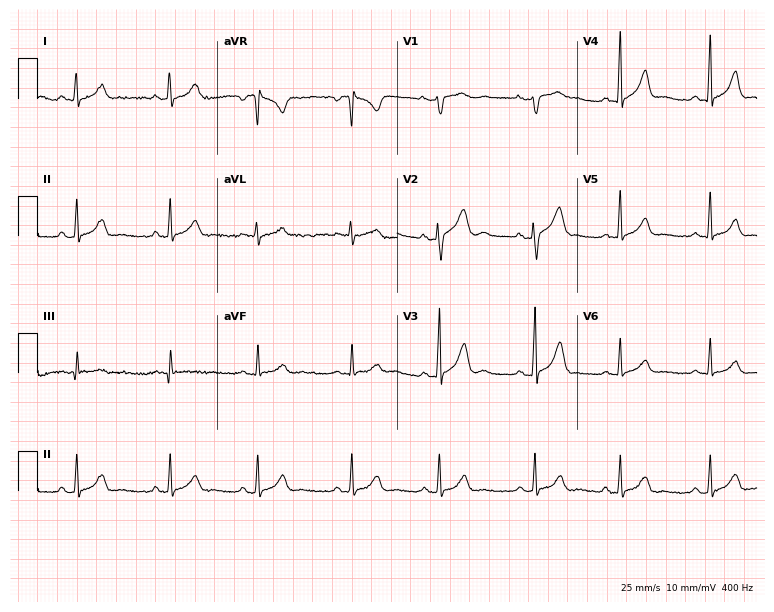
Standard 12-lead ECG recorded from a 34-year-old woman. Read as a normal ECG.